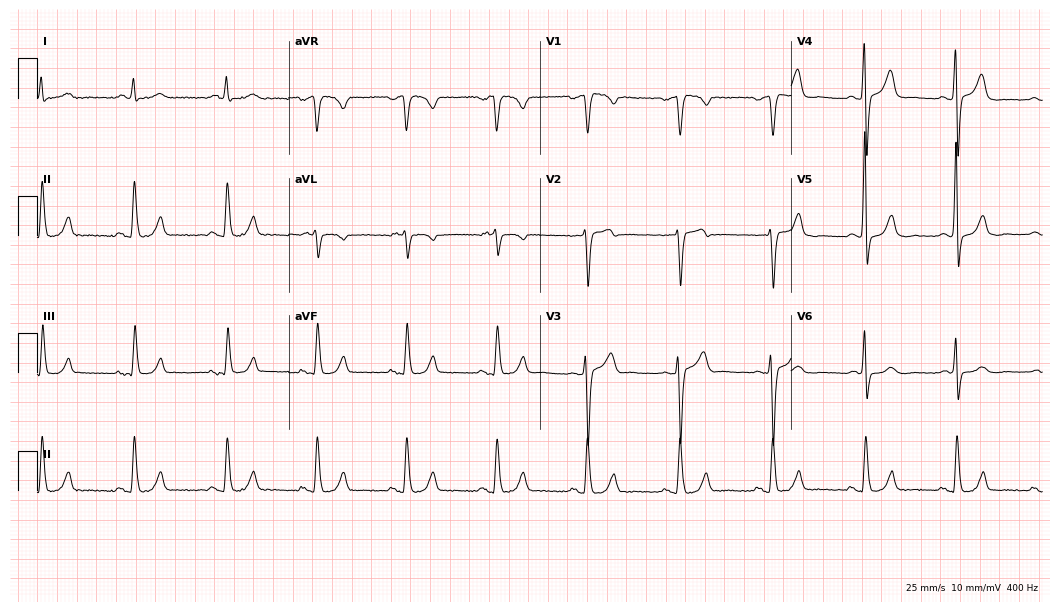
Standard 12-lead ECG recorded from a male patient, 66 years old. None of these six findings is recorded: first-degree AV block, right bundle branch block, left bundle branch block, sinus bradycardia, atrial fibrillation, sinus tachycardia. Findings outside these six are not listed.